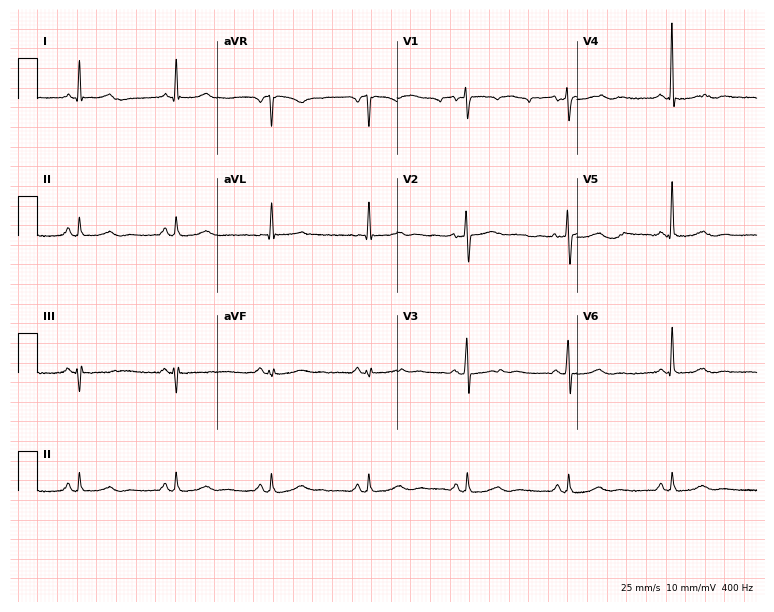
12-lead ECG from a 64-year-old female (7.3-second recording at 400 Hz). Recorded interpretation: within normal limits.